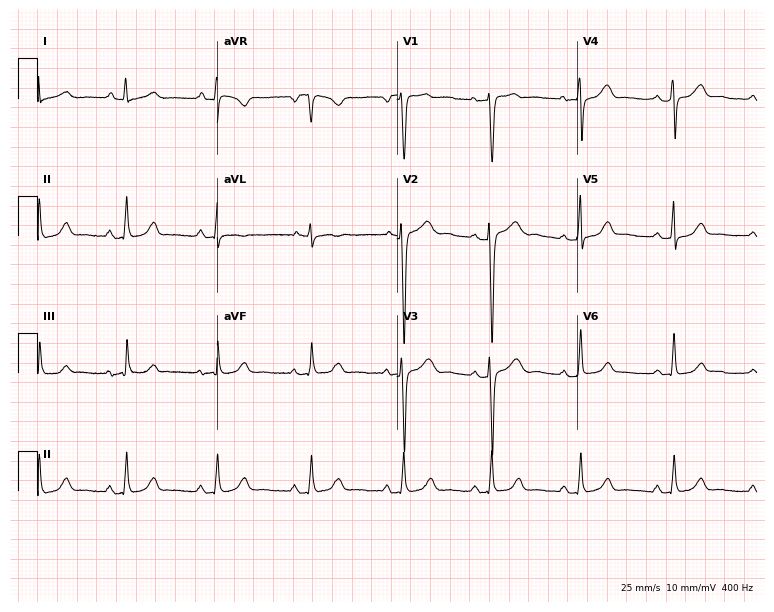
12-lead ECG from a woman, 45 years old (7.3-second recording at 400 Hz). Recorded interpretation: within normal limits.